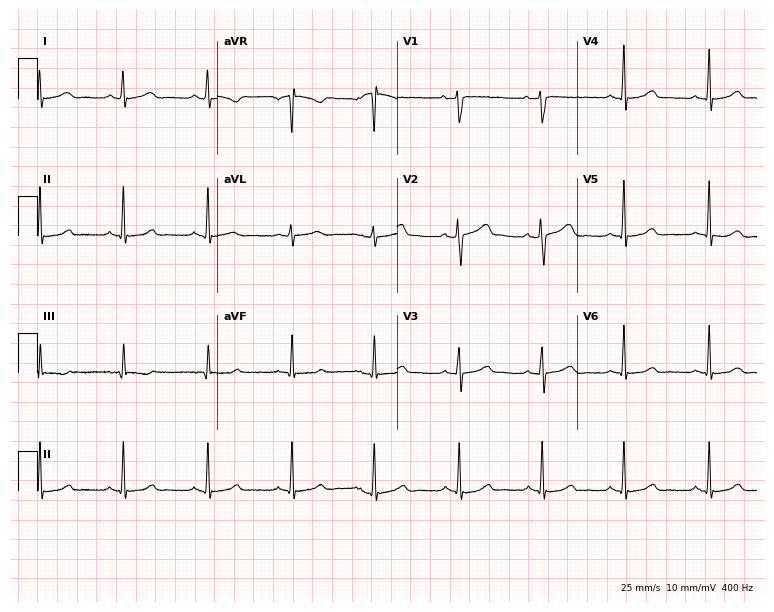
Standard 12-lead ECG recorded from a female, 33 years old (7.3-second recording at 400 Hz). Read as a normal ECG.